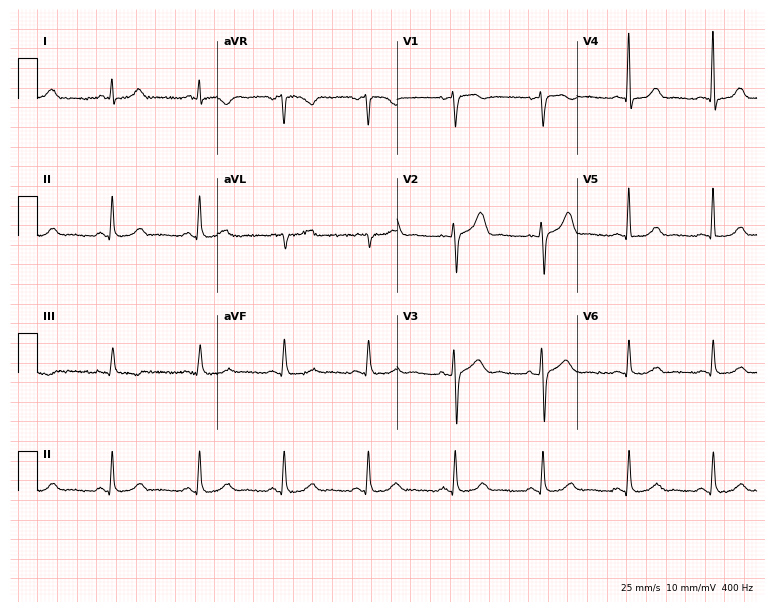
Electrocardiogram (7.3-second recording at 400 Hz), a 54-year-old female. Of the six screened findings (first-degree AV block, right bundle branch block (RBBB), left bundle branch block (LBBB), sinus bradycardia, atrial fibrillation (AF), sinus tachycardia), none is recorded.